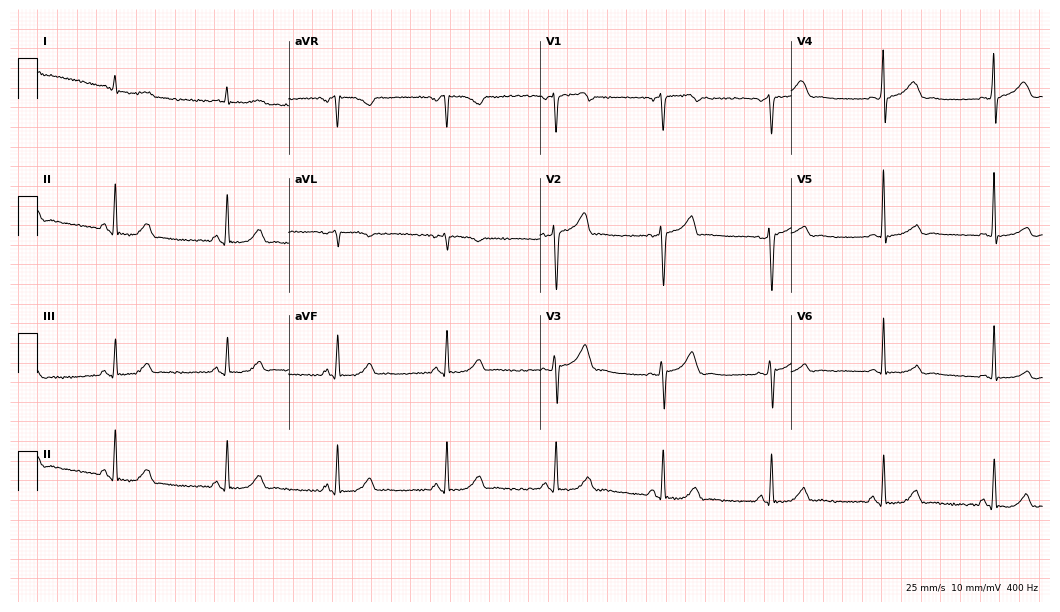
Electrocardiogram, a man, 54 years old. Overall reading on record: normal ECG.